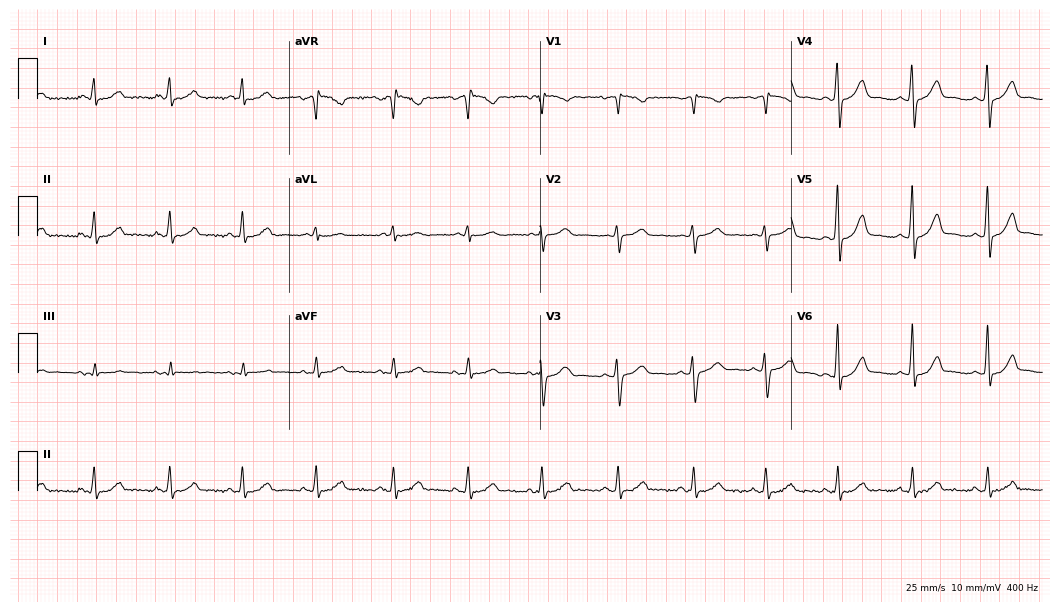
Resting 12-lead electrocardiogram. Patient: a 30-year-old female. Read as a normal ECG.